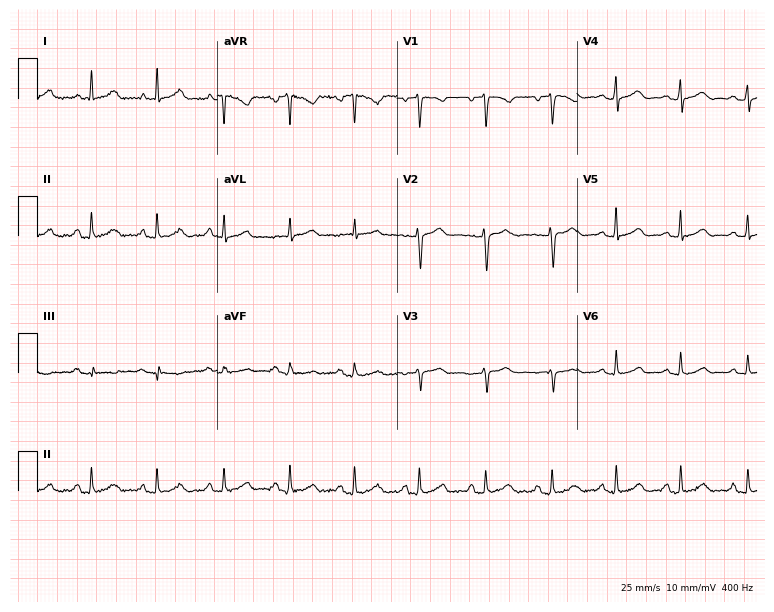
12-lead ECG from a 30-year-old female patient (7.3-second recording at 400 Hz). Recorded interpretation: within normal limits.